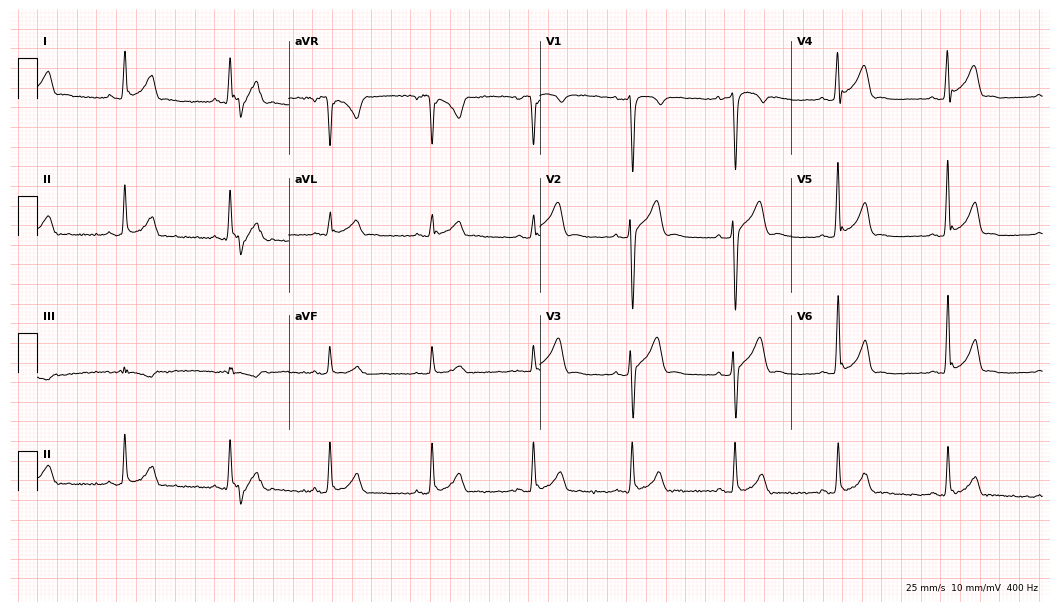
Standard 12-lead ECG recorded from a 25-year-old male (10.2-second recording at 400 Hz). None of these six findings is recorded: first-degree AV block, right bundle branch block, left bundle branch block, sinus bradycardia, atrial fibrillation, sinus tachycardia. Findings outside these six are not listed.